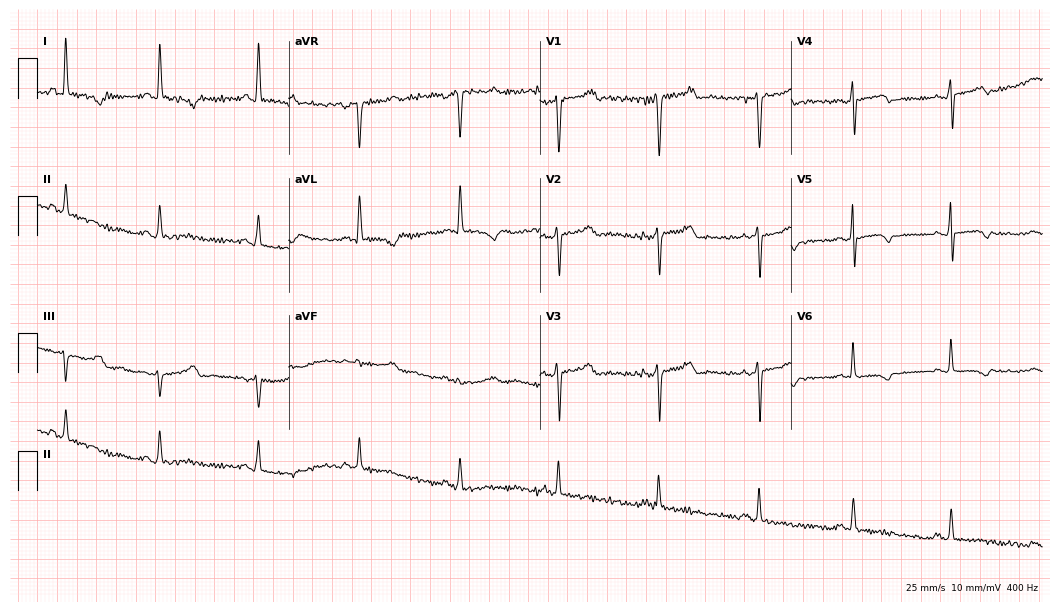
Standard 12-lead ECG recorded from a 56-year-old female (10.2-second recording at 400 Hz). None of these six findings is recorded: first-degree AV block, right bundle branch block, left bundle branch block, sinus bradycardia, atrial fibrillation, sinus tachycardia.